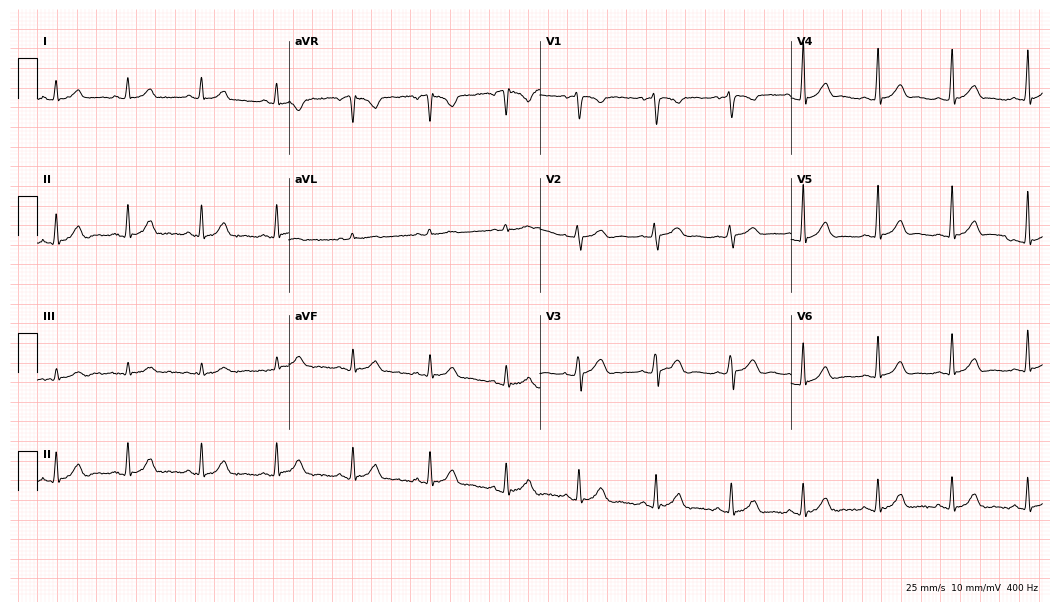
12-lead ECG from a woman, 30 years old. Labelled as a normal ECG.